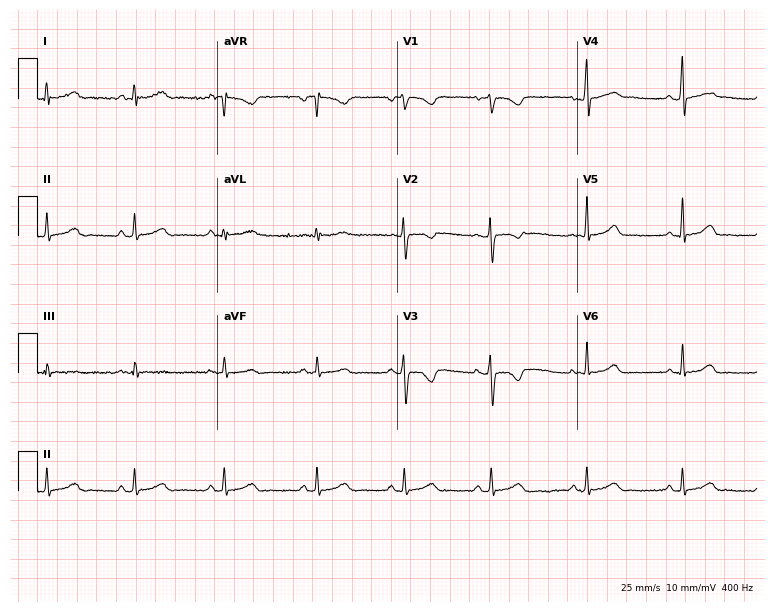
12-lead ECG from a female patient, 19 years old. No first-degree AV block, right bundle branch block, left bundle branch block, sinus bradycardia, atrial fibrillation or sinus tachycardia recorded for this tracing.